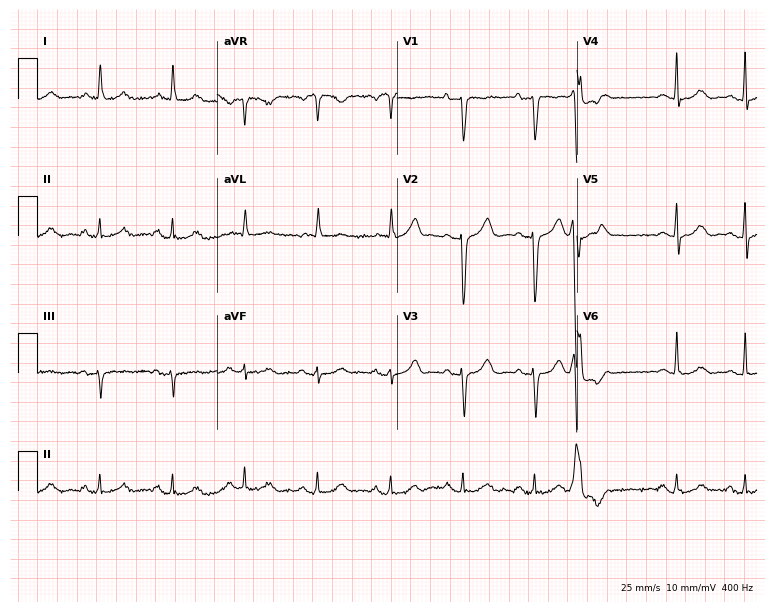
Electrocardiogram, an 83-year-old woman. Of the six screened findings (first-degree AV block, right bundle branch block (RBBB), left bundle branch block (LBBB), sinus bradycardia, atrial fibrillation (AF), sinus tachycardia), none is recorded.